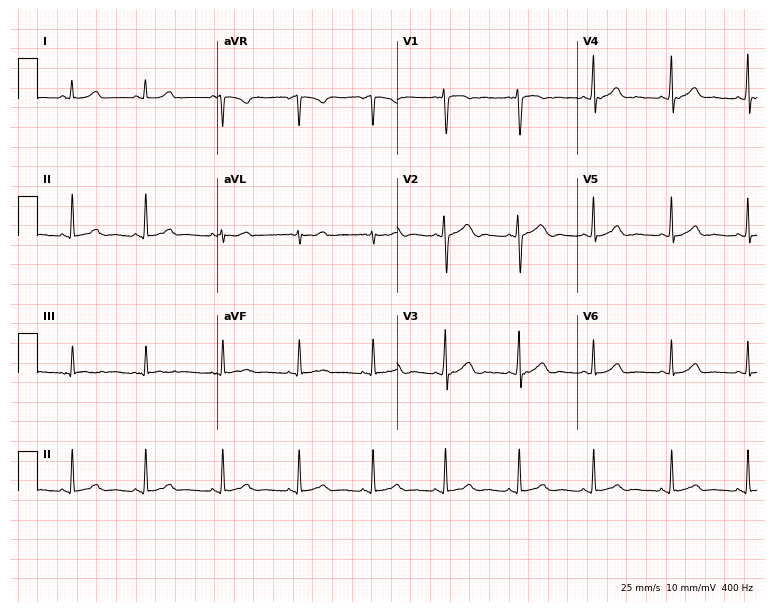
Standard 12-lead ECG recorded from a 25-year-old woman. Read as a normal ECG.